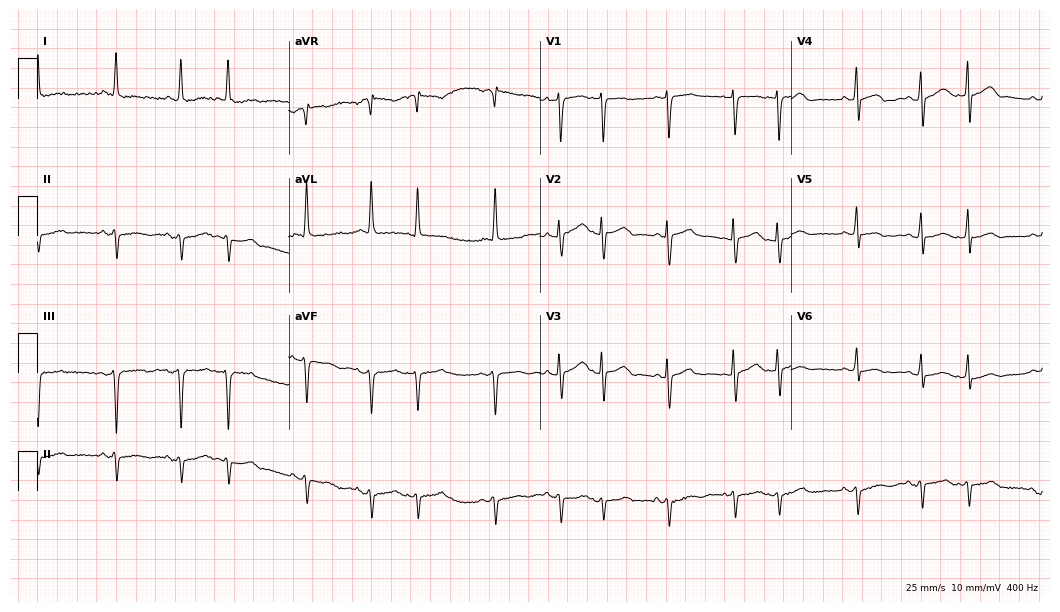
Standard 12-lead ECG recorded from a female, 81 years old. None of these six findings is recorded: first-degree AV block, right bundle branch block (RBBB), left bundle branch block (LBBB), sinus bradycardia, atrial fibrillation (AF), sinus tachycardia. Findings outside these six are not listed.